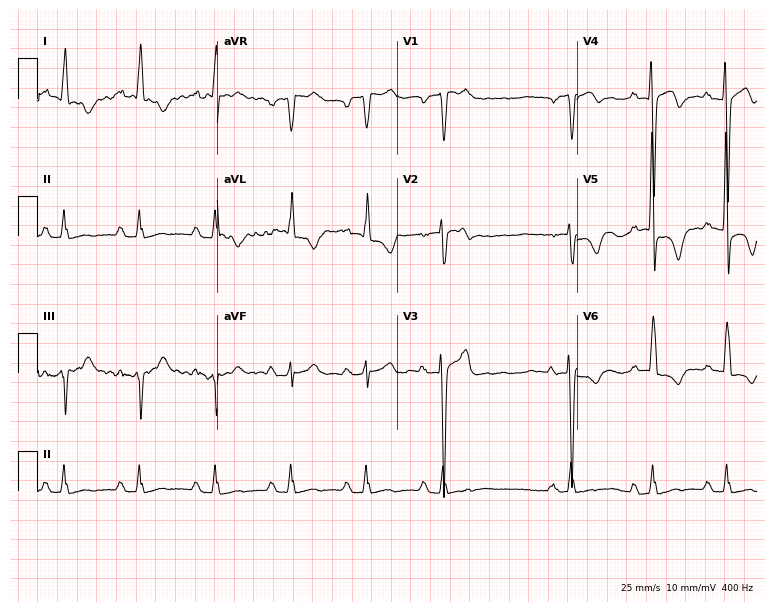
12-lead ECG from a male, 72 years old. Shows first-degree AV block.